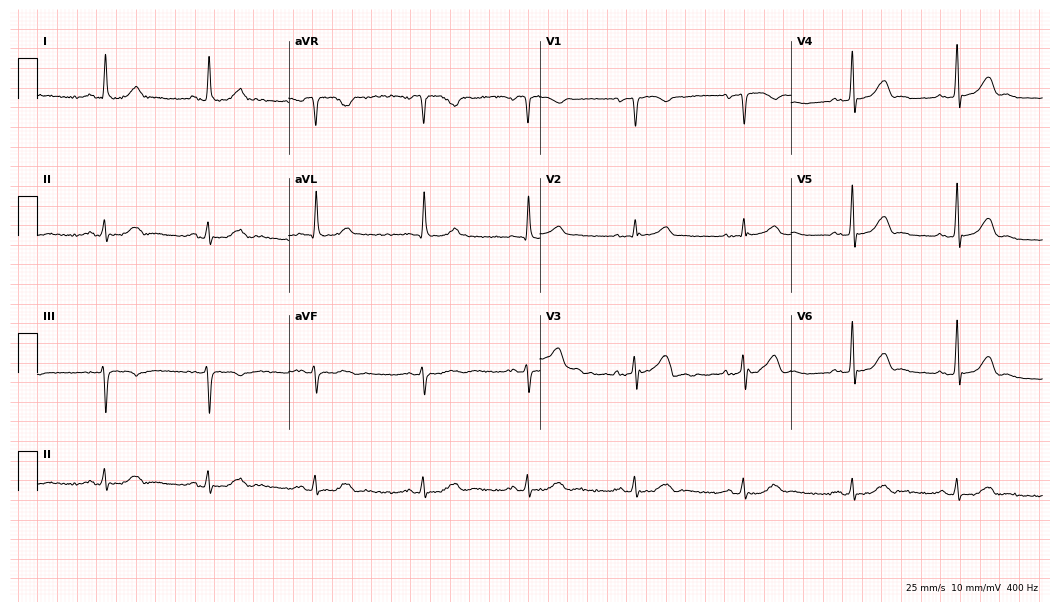
12-lead ECG from a male, 68 years old (10.2-second recording at 400 Hz). Recorded interpretation: within normal limits.